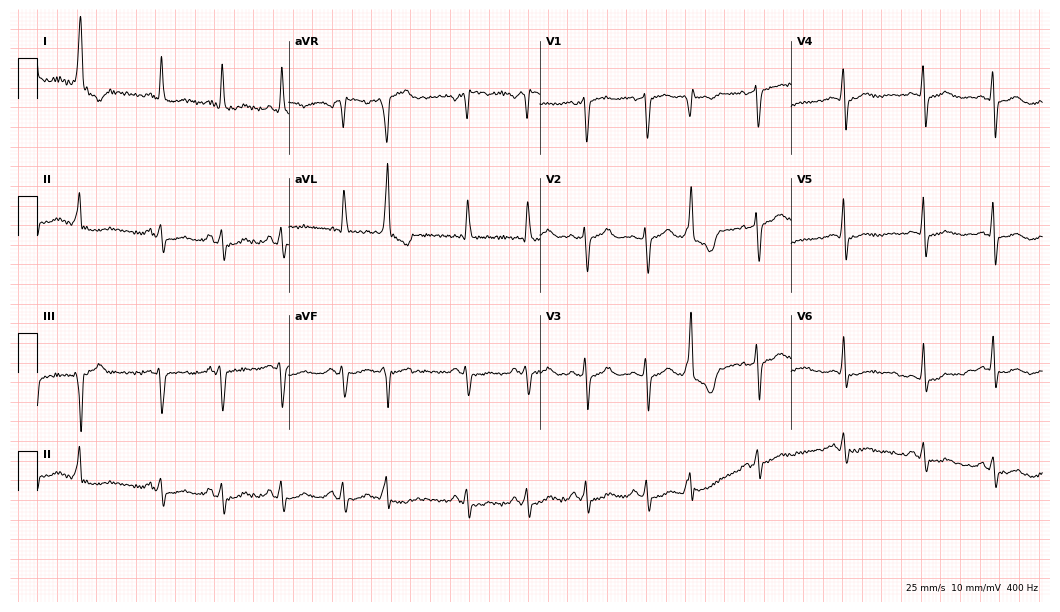
ECG (10.2-second recording at 400 Hz) — a female, 71 years old. Screened for six findings — first-degree AV block, right bundle branch block, left bundle branch block, sinus bradycardia, atrial fibrillation, sinus tachycardia — none is recorded.